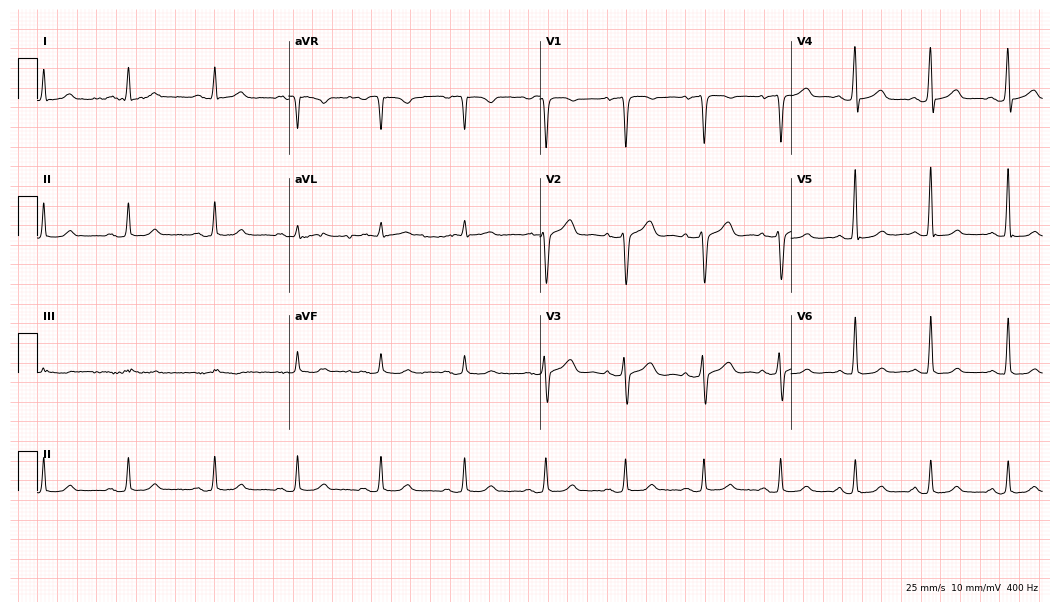
Standard 12-lead ECG recorded from a 38-year-old male patient (10.2-second recording at 400 Hz). None of these six findings is recorded: first-degree AV block, right bundle branch block (RBBB), left bundle branch block (LBBB), sinus bradycardia, atrial fibrillation (AF), sinus tachycardia. Findings outside these six are not listed.